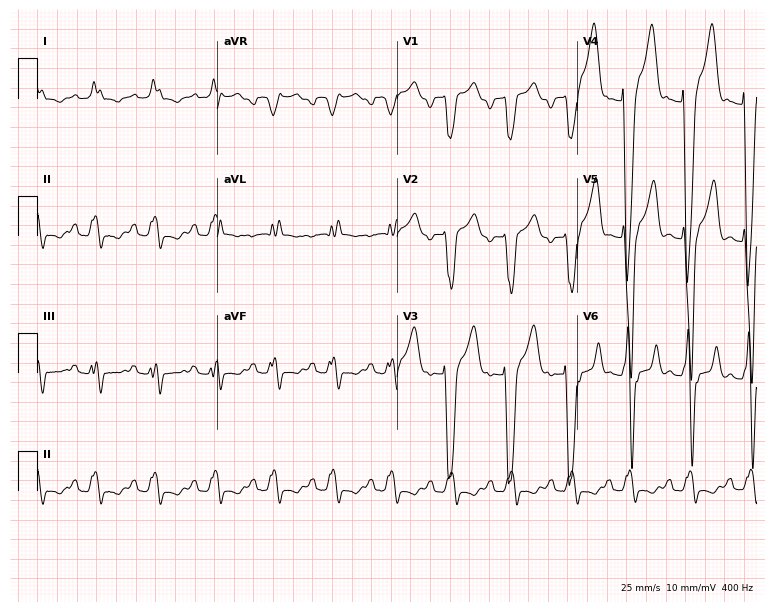
12-lead ECG from a male patient, 61 years old. Findings include left bundle branch block.